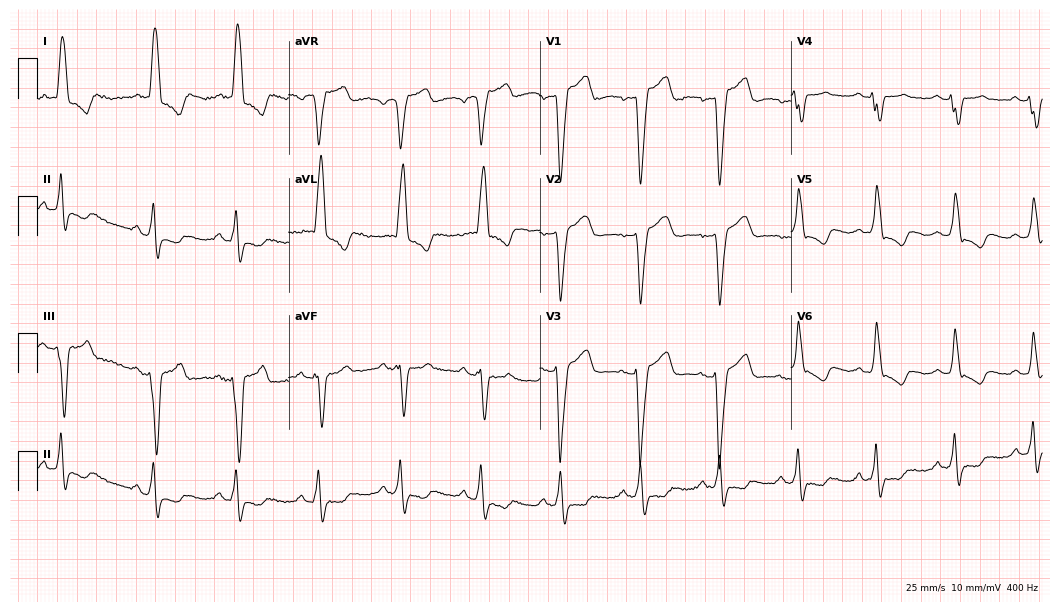
Standard 12-lead ECG recorded from a female patient, 80 years old (10.2-second recording at 400 Hz). The tracing shows left bundle branch block (LBBB).